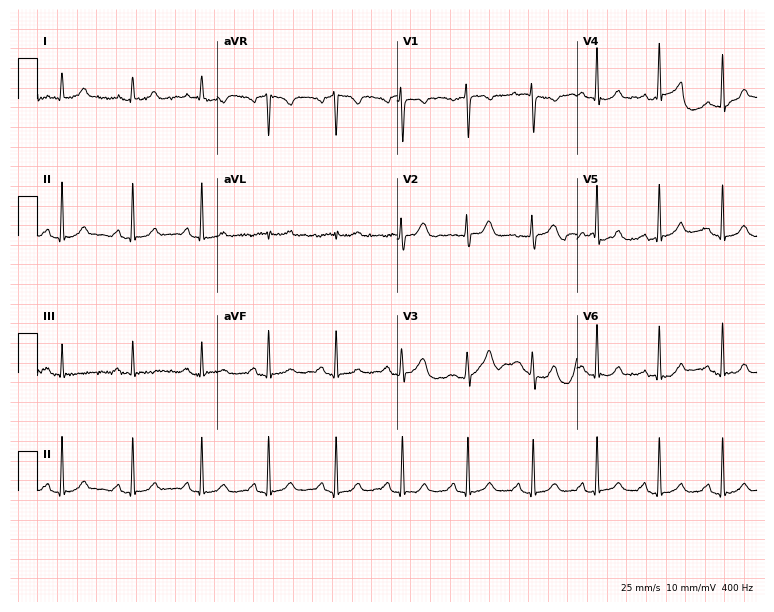
Electrocardiogram (7.3-second recording at 400 Hz), a 26-year-old female. Overall reading on record: normal ECG.